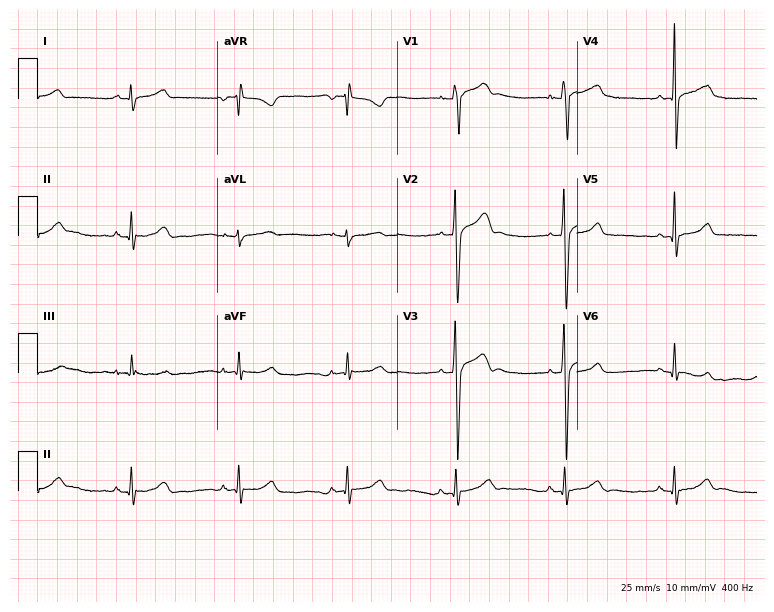
Resting 12-lead electrocardiogram (7.3-second recording at 400 Hz). Patient: a 21-year-old male. None of these six findings is recorded: first-degree AV block, right bundle branch block (RBBB), left bundle branch block (LBBB), sinus bradycardia, atrial fibrillation (AF), sinus tachycardia. Other findings, if any, are not listed.